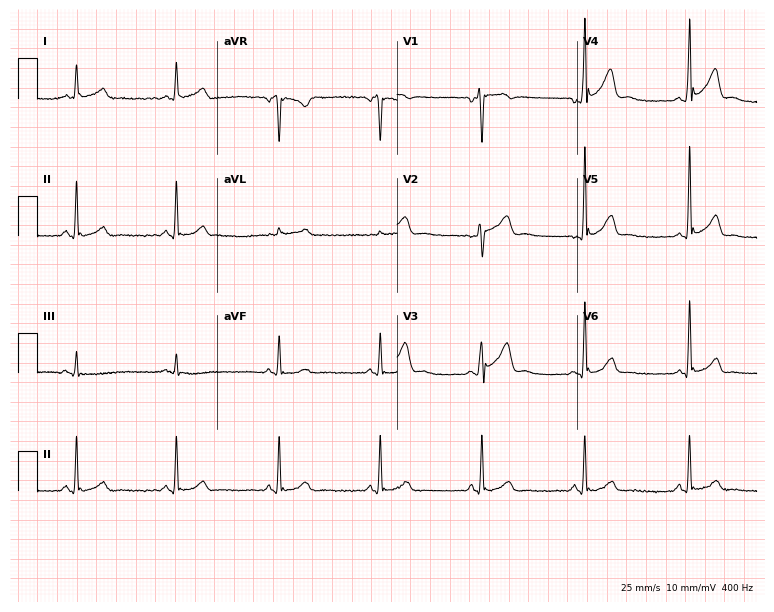
12-lead ECG from a male, 30 years old (7.3-second recording at 400 Hz). Recorded interpretation: within normal limits.